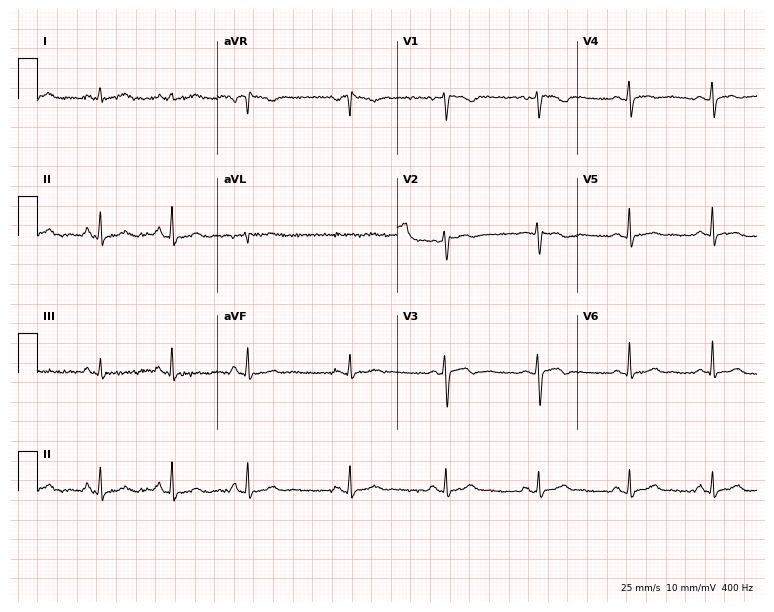
12-lead ECG from a woman, 30 years old. No first-degree AV block, right bundle branch block, left bundle branch block, sinus bradycardia, atrial fibrillation or sinus tachycardia recorded for this tracing. Findings outside these six are not listed.